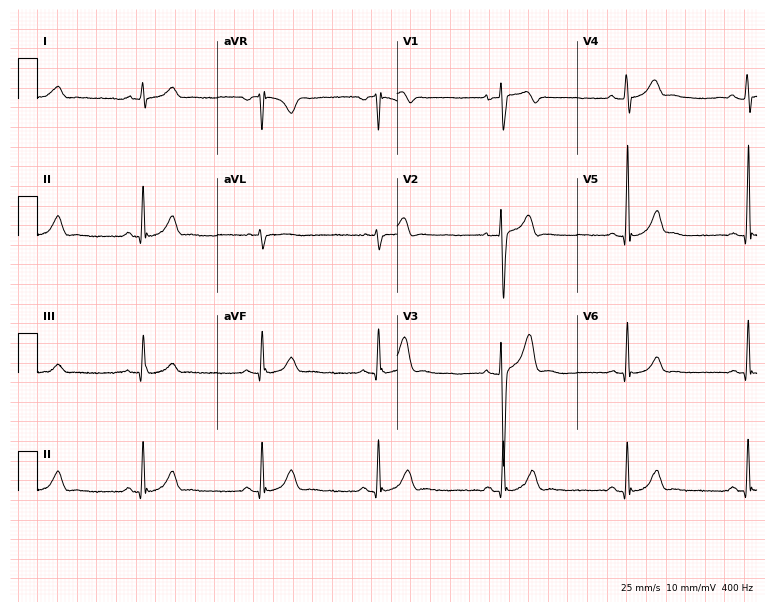
ECG — a 24-year-old male patient. Findings include sinus bradycardia (a sinus rate of 50 beats per minute or less).